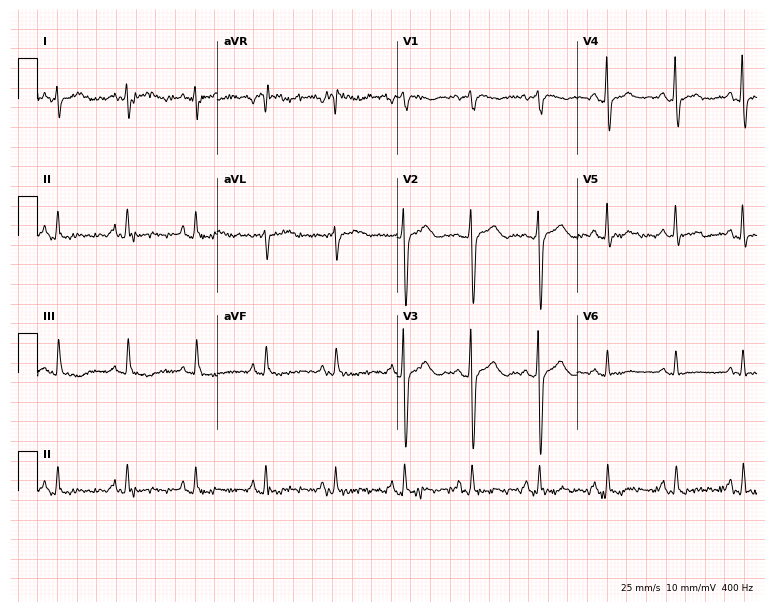
ECG — a female, 63 years old. Labelled as a normal ECG.